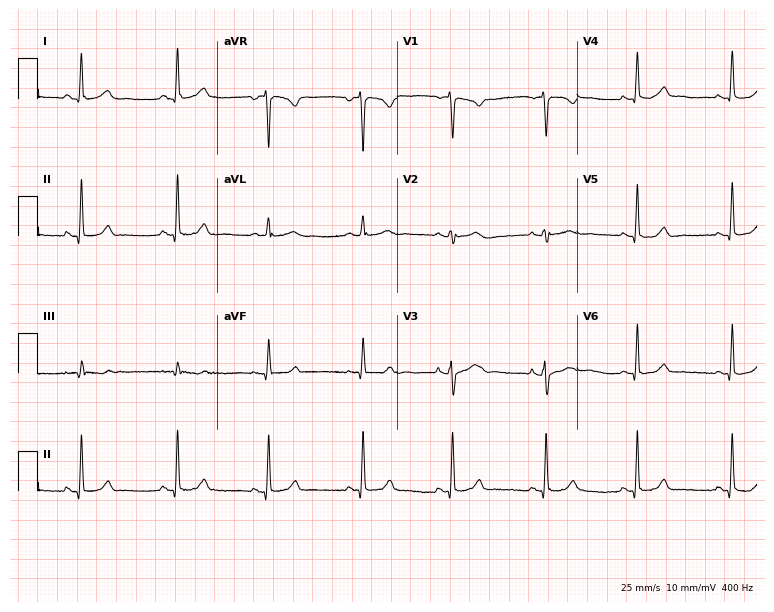
ECG — a female patient, 39 years old. Labelled as a normal ECG.